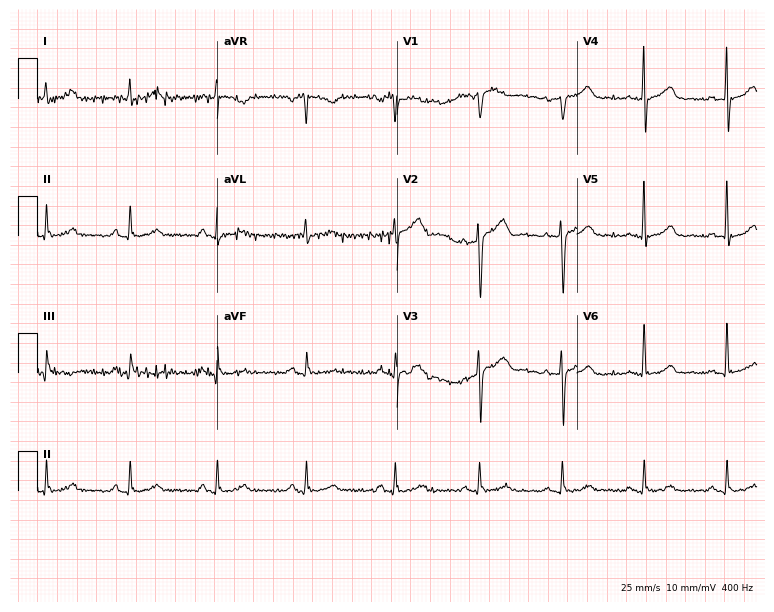
ECG — a 49-year-old female. Labelled as a normal ECG.